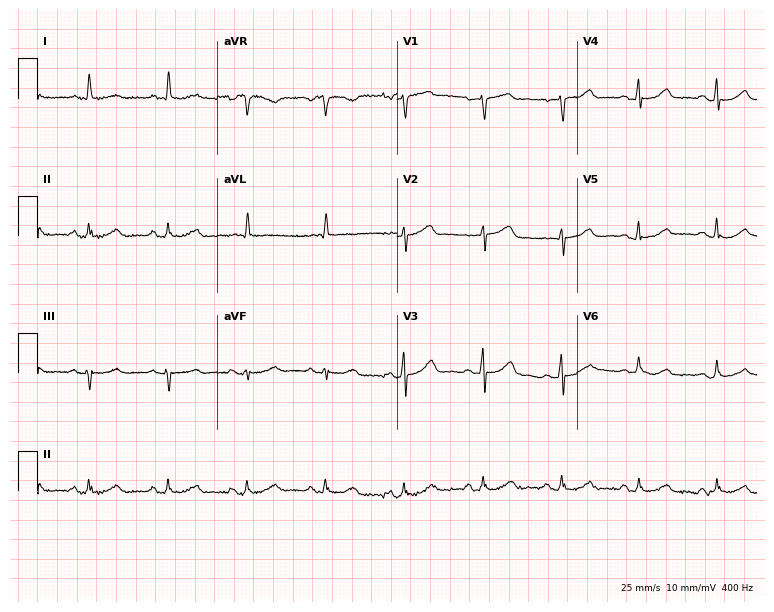
ECG (7.3-second recording at 400 Hz) — a female, 73 years old. Labelled as a normal ECG.